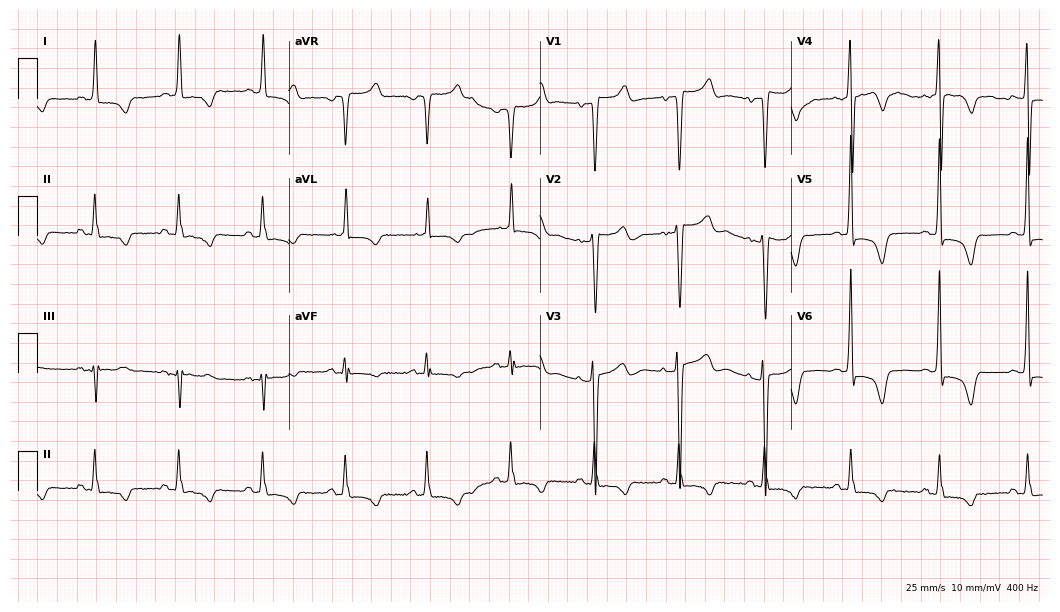
Electrocardiogram, a female patient, 60 years old. Of the six screened findings (first-degree AV block, right bundle branch block, left bundle branch block, sinus bradycardia, atrial fibrillation, sinus tachycardia), none is recorded.